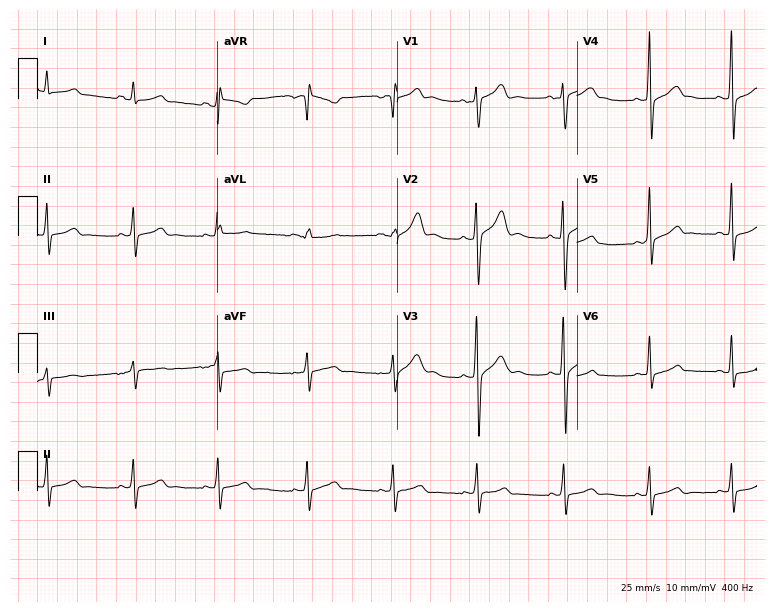
Resting 12-lead electrocardiogram (7.3-second recording at 400 Hz). Patient: a male, 19 years old. None of these six findings is recorded: first-degree AV block, right bundle branch block, left bundle branch block, sinus bradycardia, atrial fibrillation, sinus tachycardia. Only these six findings were labelled.